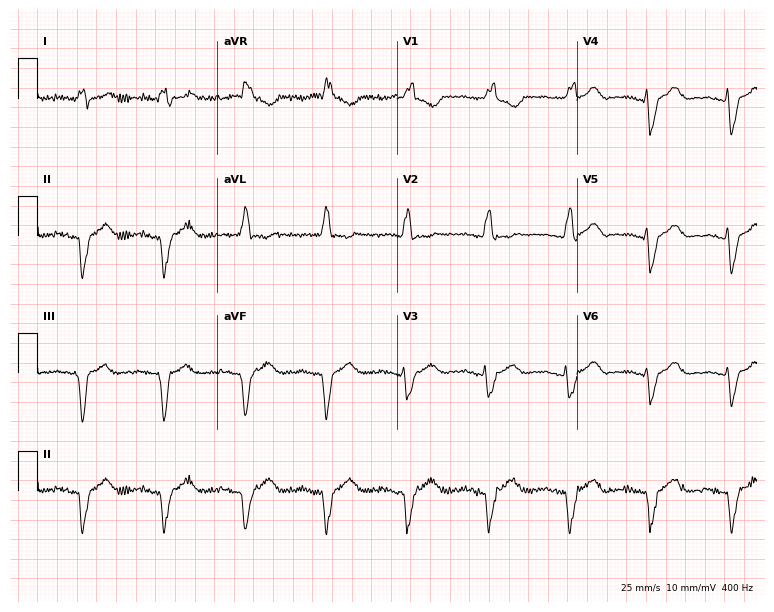
ECG — a male, 84 years old. Screened for six findings — first-degree AV block, right bundle branch block (RBBB), left bundle branch block (LBBB), sinus bradycardia, atrial fibrillation (AF), sinus tachycardia — none is recorded. Only these six findings were labelled.